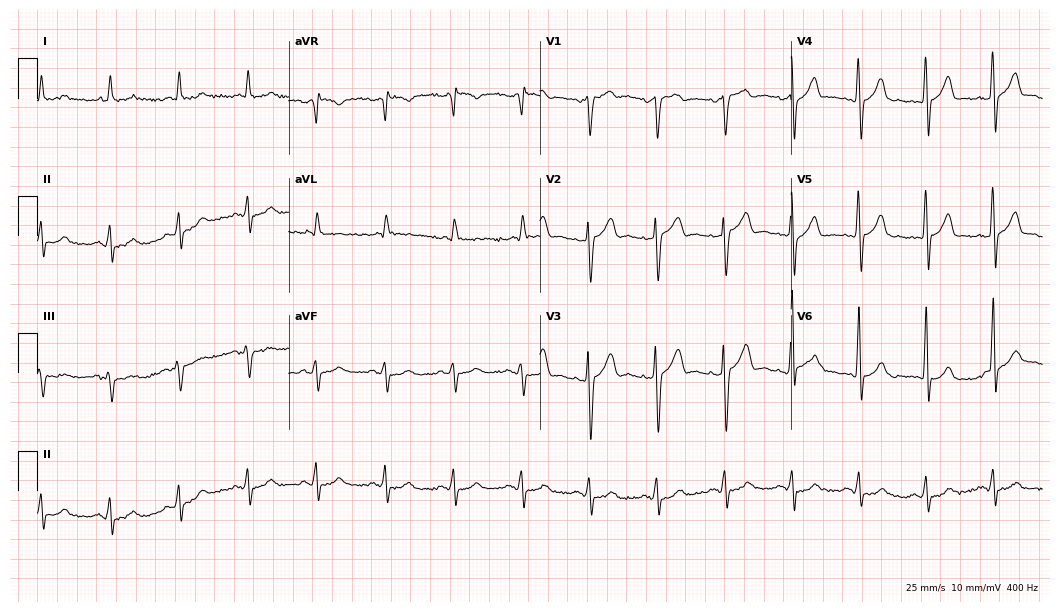
Standard 12-lead ECG recorded from a male, 75 years old (10.2-second recording at 400 Hz). Read as a normal ECG.